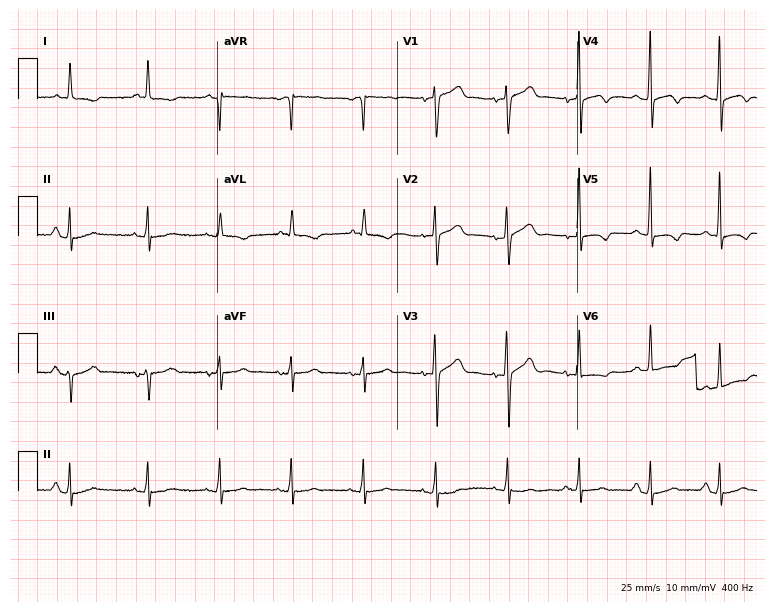
12-lead ECG from a 73-year-old female. Labelled as a normal ECG.